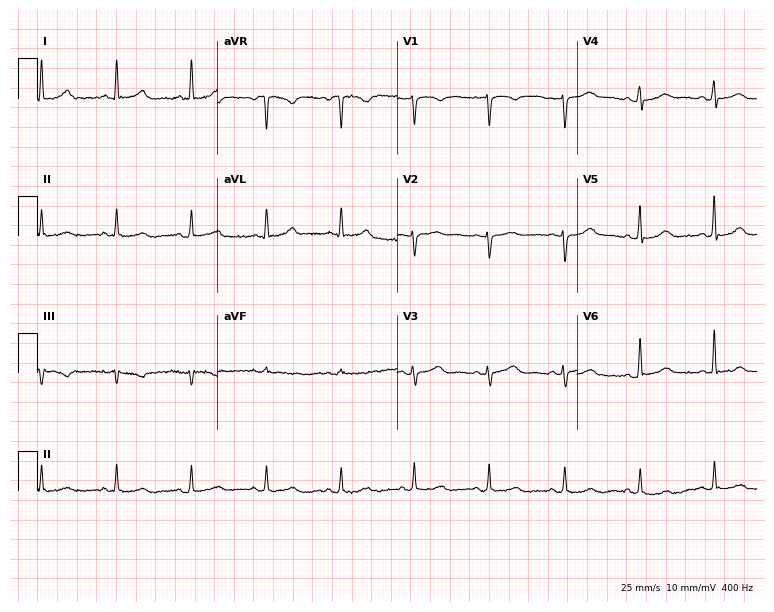
Electrocardiogram (7.3-second recording at 400 Hz), a 50-year-old female patient. Of the six screened findings (first-degree AV block, right bundle branch block (RBBB), left bundle branch block (LBBB), sinus bradycardia, atrial fibrillation (AF), sinus tachycardia), none is recorded. Other findings, if any, are not listed.